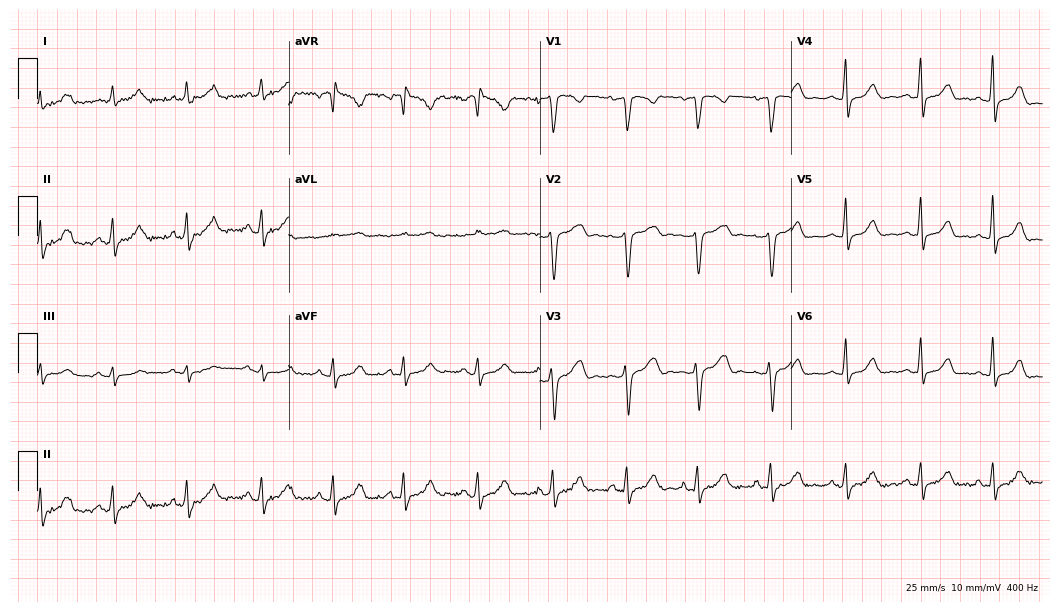
Resting 12-lead electrocardiogram. Patient: a female, 49 years old. Read as a normal ECG.